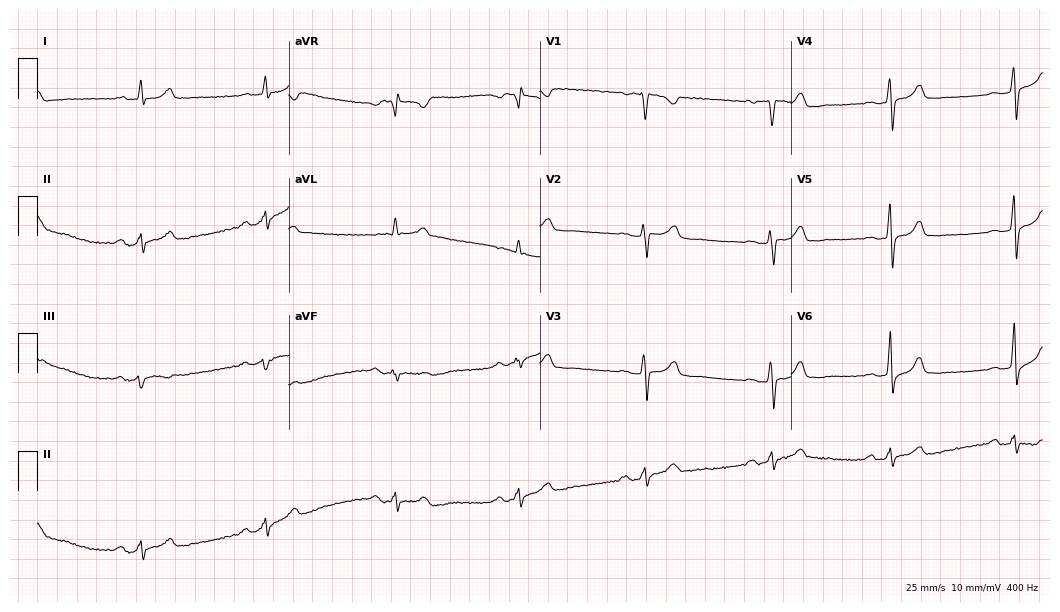
ECG — a 41-year-old female patient. Findings include first-degree AV block, right bundle branch block.